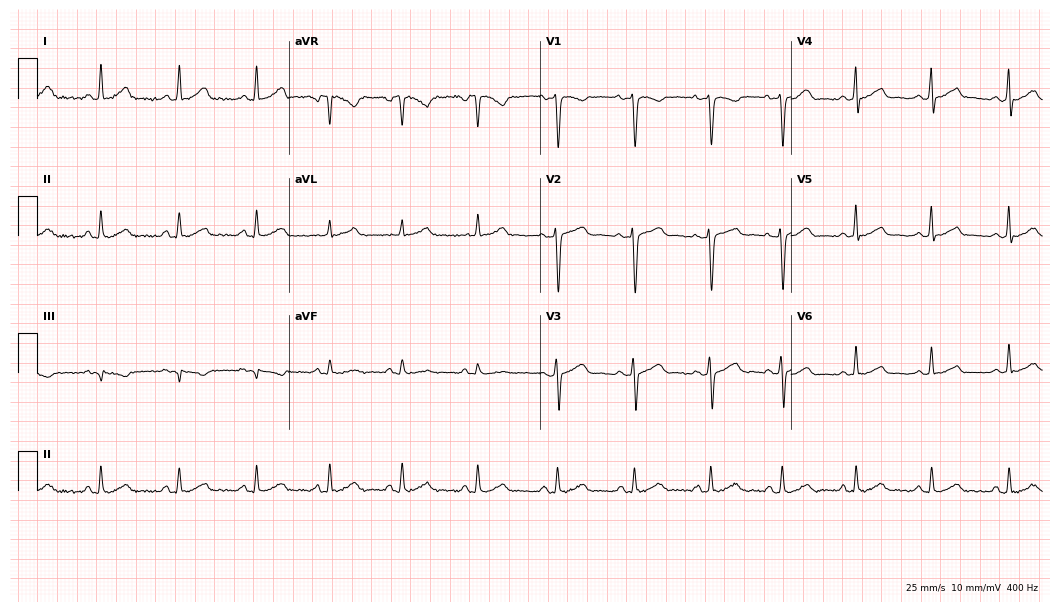
Standard 12-lead ECG recorded from a 27-year-old female patient (10.2-second recording at 400 Hz). Read as a normal ECG.